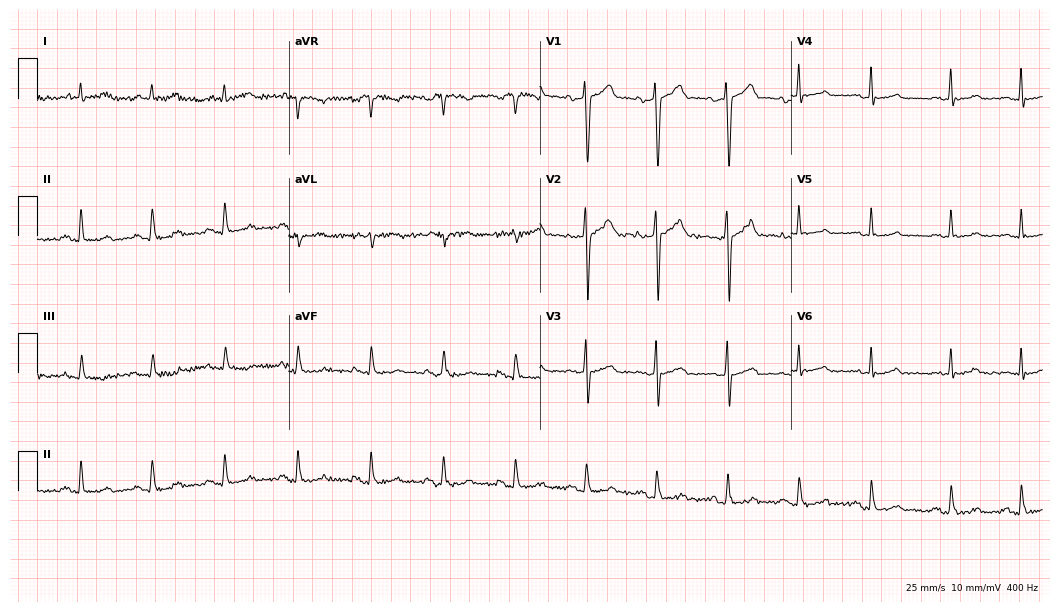
Electrocardiogram, a man, 48 years old. Of the six screened findings (first-degree AV block, right bundle branch block, left bundle branch block, sinus bradycardia, atrial fibrillation, sinus tachycardia), none is recorded.